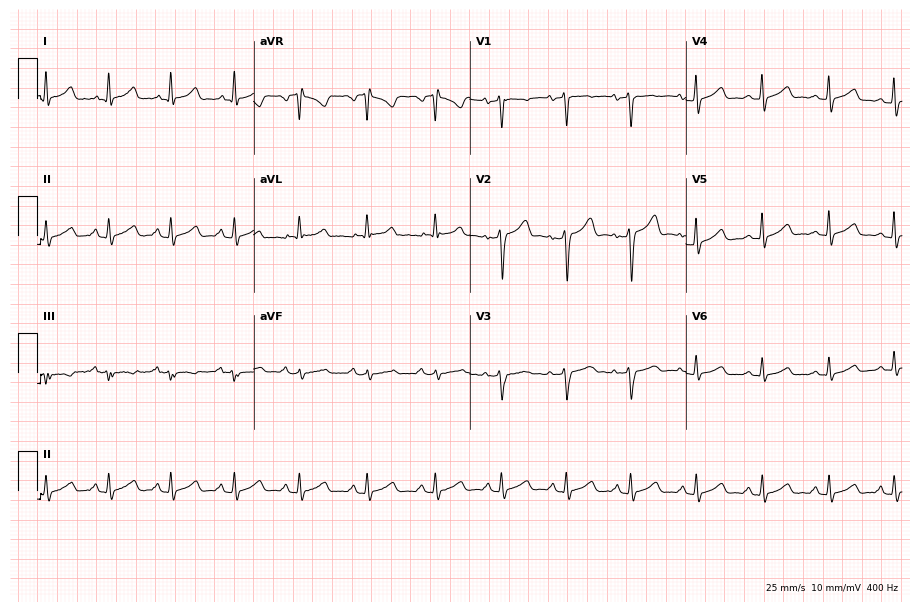
Resting 12-lead electrocardiogram (8.8-second recording at 400 Hz). Patient: a 33-year-old female. None of these six findings is recorded: first-degree AV block, right bundle branch block, left bundle branch block, sinus bradycardia, atrial fibrillation, sinus tachycardia. Findings outside these six are not listed.